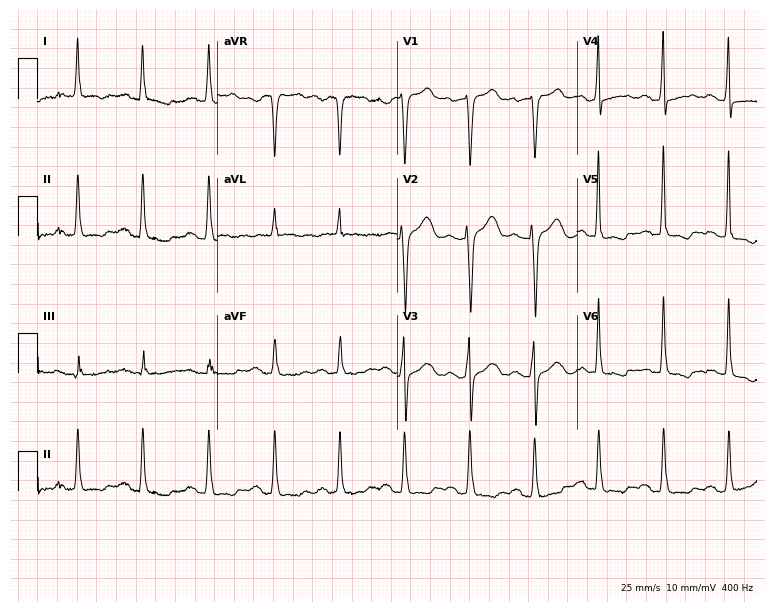
Electrocardiogram (7.3-second recording at 400 Hz), a 70-year-old female patient. Of the six screened findings (first-degree AV block, right bundle branch block (RBBB), left bundle branch block (LBBB), sinus bradycardia, atrial fibrillation (AF), sinus tachycardia), none is recorded. Other findings, if any, are not listed.